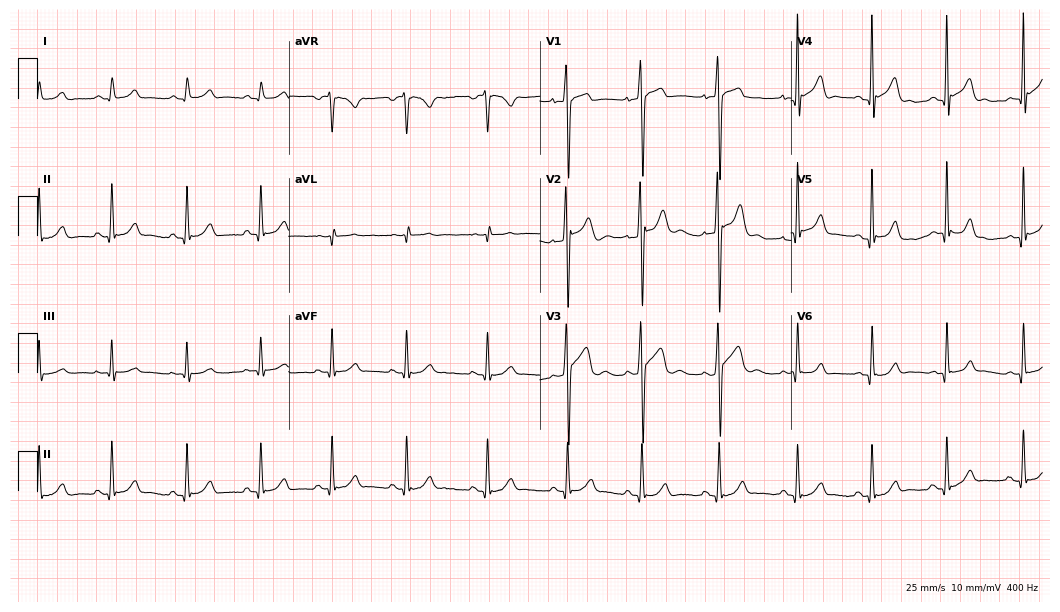
ECG (10.2-second recording at 400 Hz) — a male patient, 17 years old. Labelled as a normal ECG.